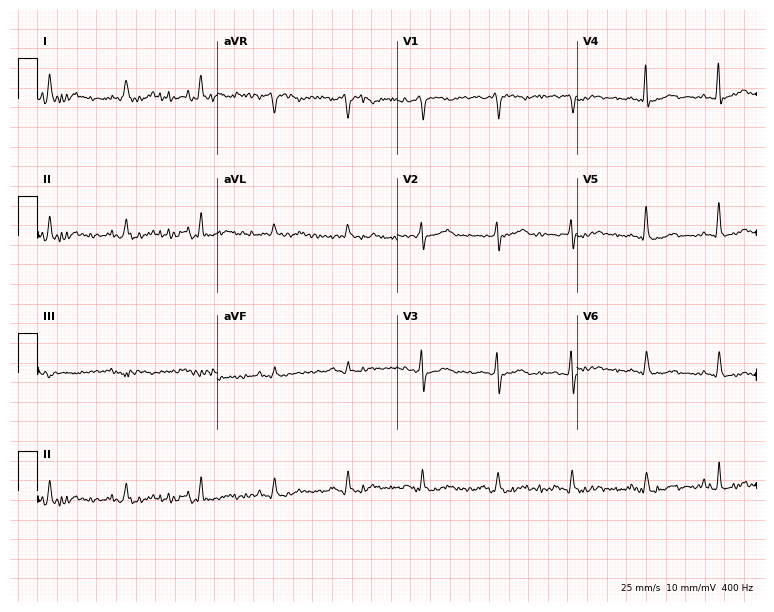
12-lead ECG from a 73-year-old male. No first-degree AV block, right bundle branch block (RBBB), left bundle branch block (LBBB), sinus bradycardia, atrial fibrillation (AF) or sinus tachycardia recorded for this tracing.